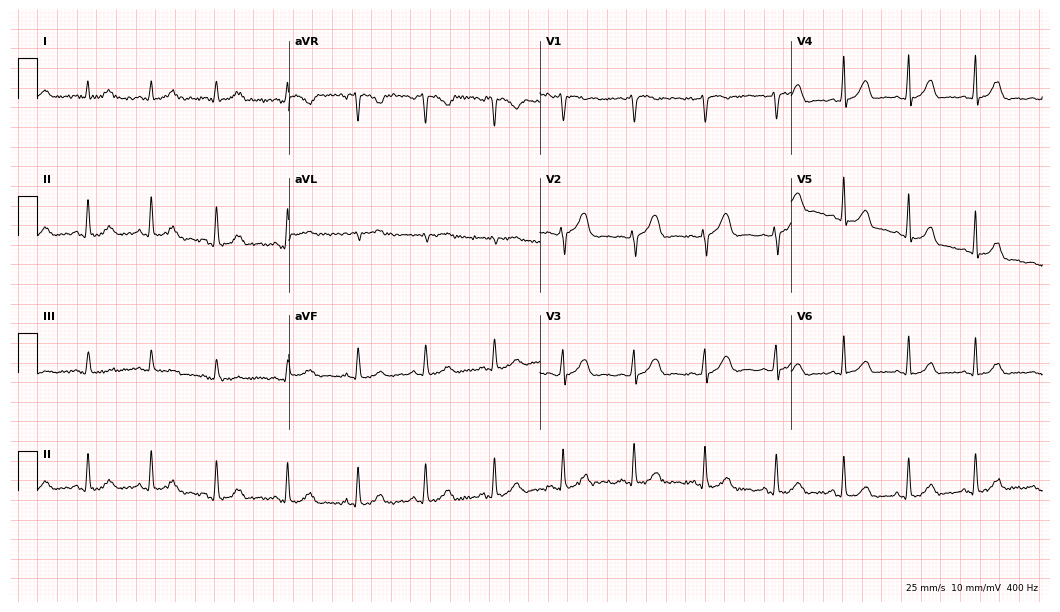
12-lead ECG from a 27-year-old woman. No first-degree AV block, right bundle branch block, left bundle branch block, sinus bradycardia, atrial fibrillation or sinus tachycardia recorded for this tracing.